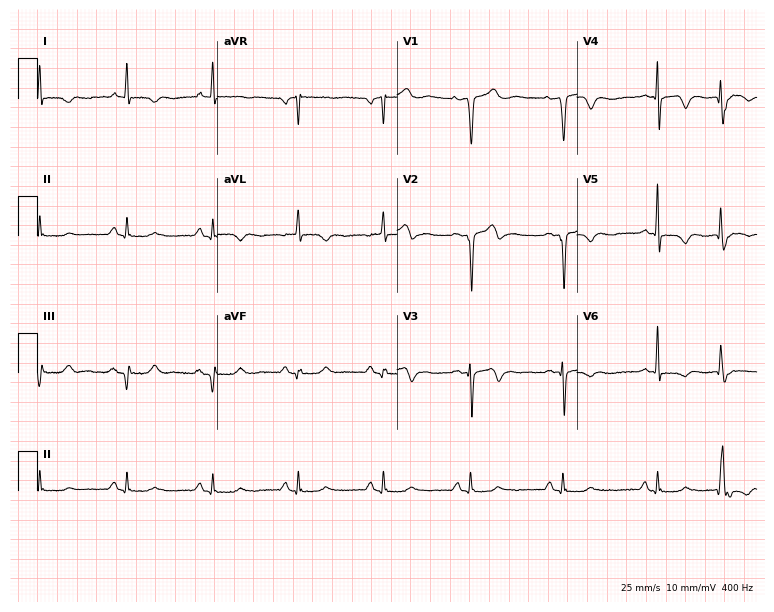
12-lead ECG from a man, 63 years old (7.3-second recording at 400 Hz). No first-degree AV block, right bundle branch block, left bundle branch block, sinus bradycardia, atrial fibrillation or sinus tachycardia recorded for this tracing.